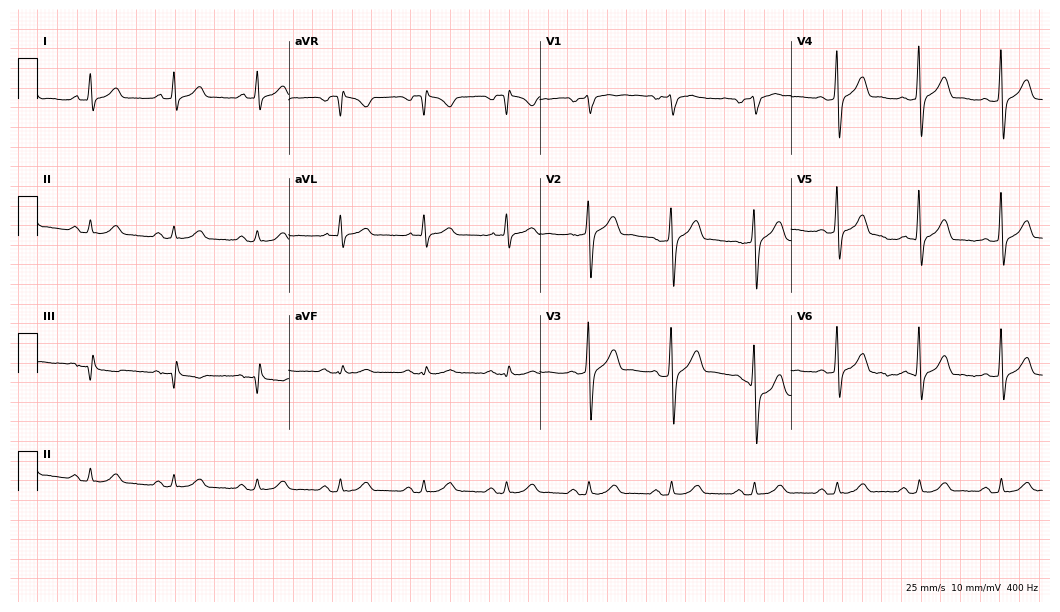
Standard 12-lead ECG recorded from a 58-year-old man. Read as a normal ECG.